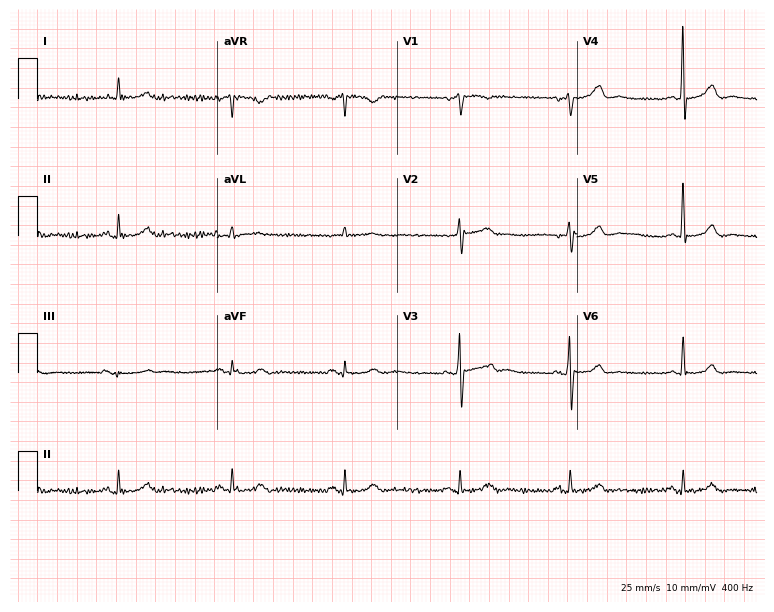
12-lead ECG from a 70-year-old male patient. Recorded interpretation: within normal limits.